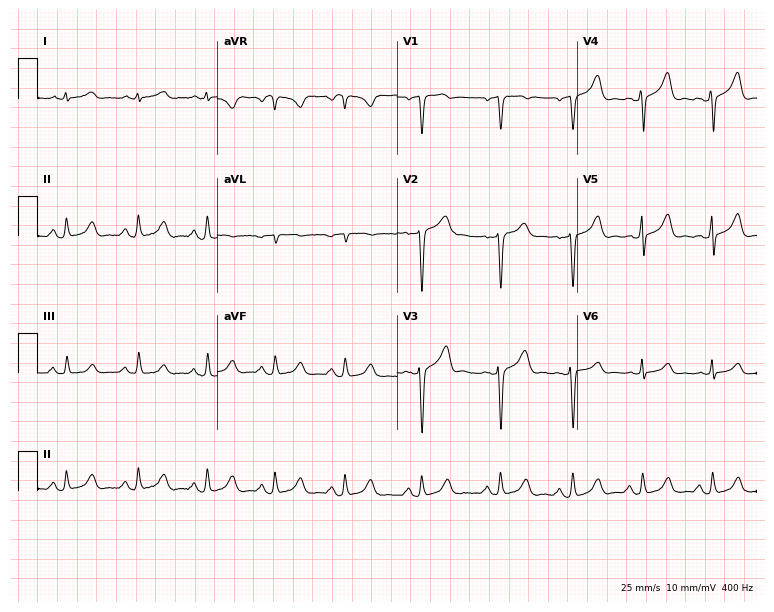
ECG — a 61-year-old female patient. Screened for six findings — first-degree AV block, right bundle branch block (RBBB), left bundle branch block (LBBB), sinus bradycardia, atrial fibrillation (AF), sinus tachycardia — none is recorded.